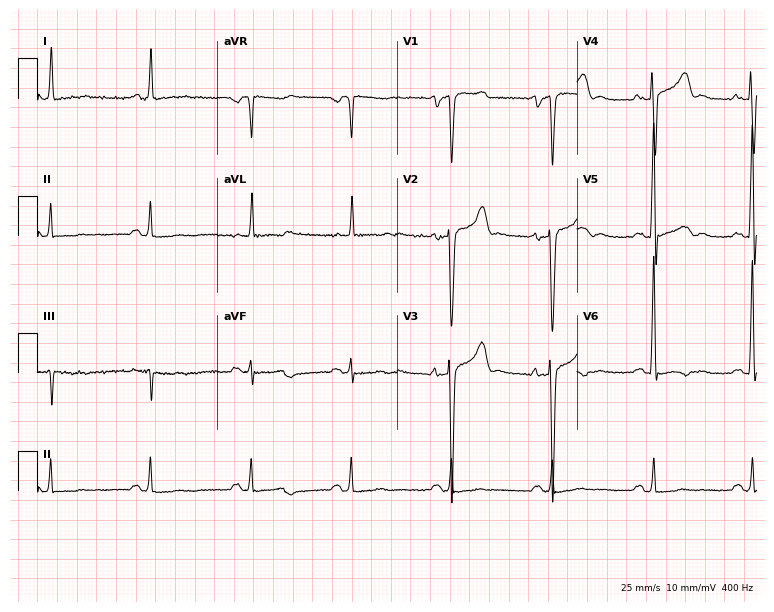
ECG (7.3-second recording at 400 Hz) — a male patient, 52 years old. Labelled as a normal ECG.